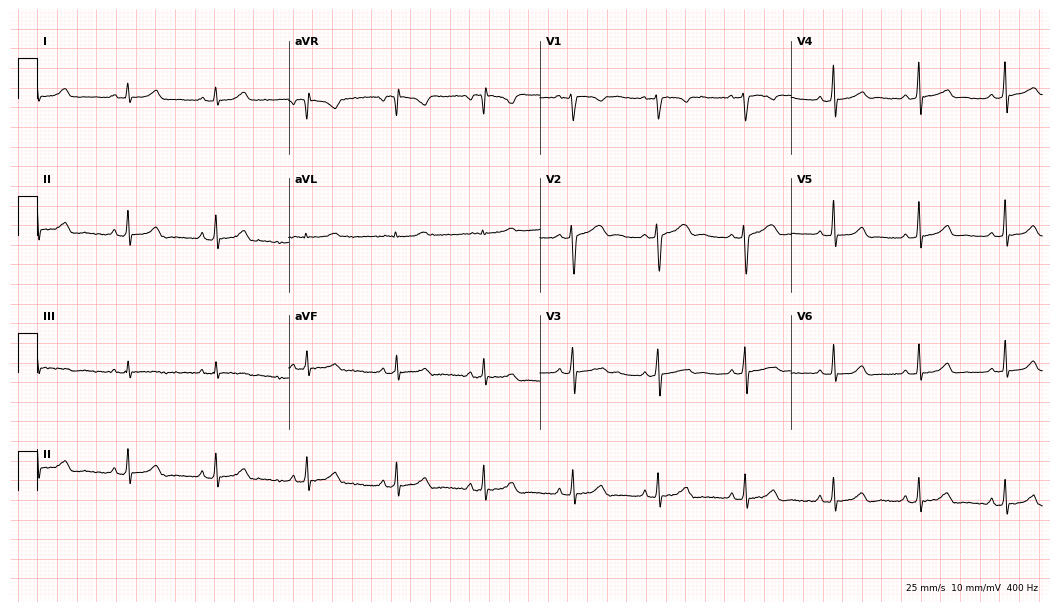
Resting 12-lead electrocardiogram (10.2-second recording at 400 Hz). Patient: a woman, 19 years old. Read as a normal ECG.